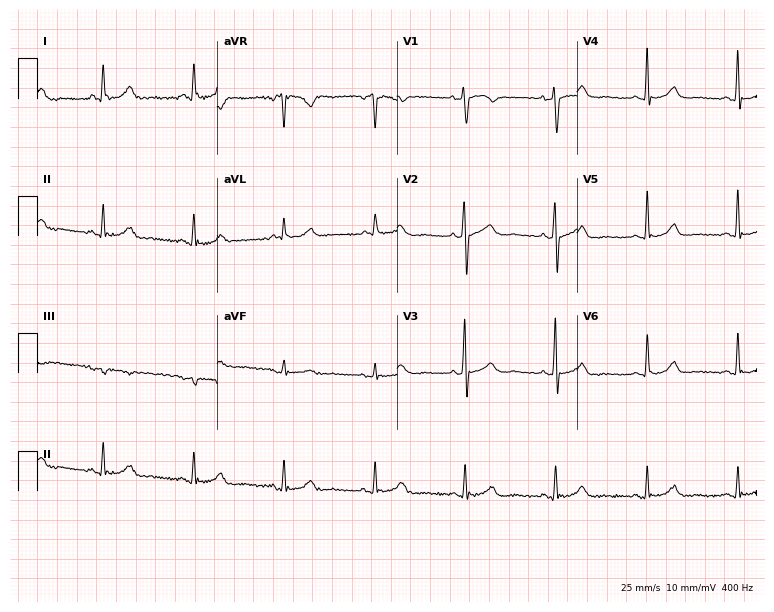
12-lead ECG from a 55-year-old female. Screened for six findings — first-degree AV block, right bundle branch block, left bundle branch block, sinus bradycardia, atrial fibrillation, sinus tachycardia — none is recorded. Only these six findings were labelled.